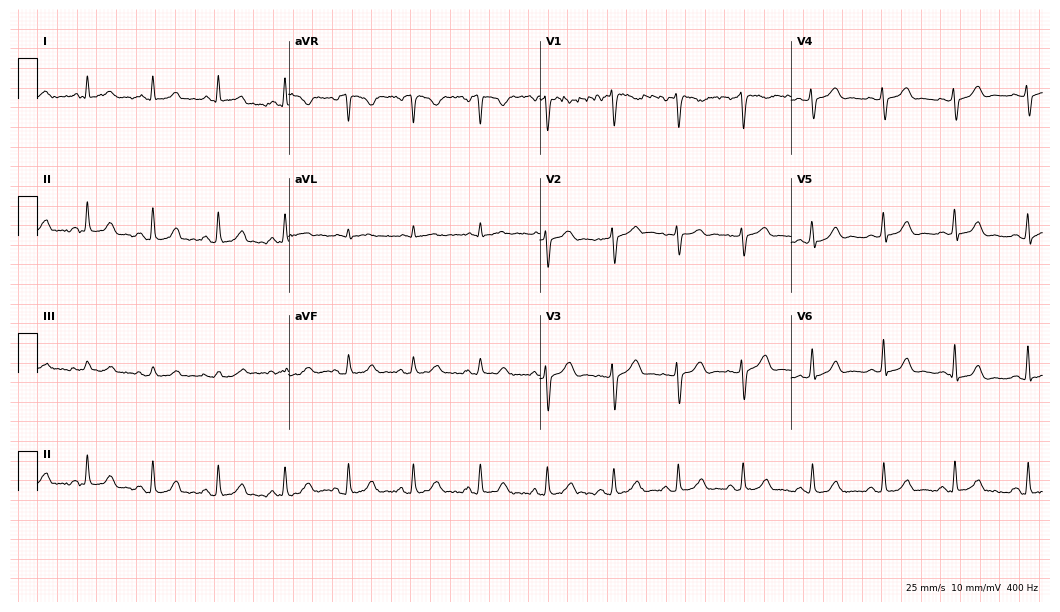
12-lead ECG (10.2-second recording at 400 Hz) from a 28-year-old female patient. Labelled as a normal ECG.